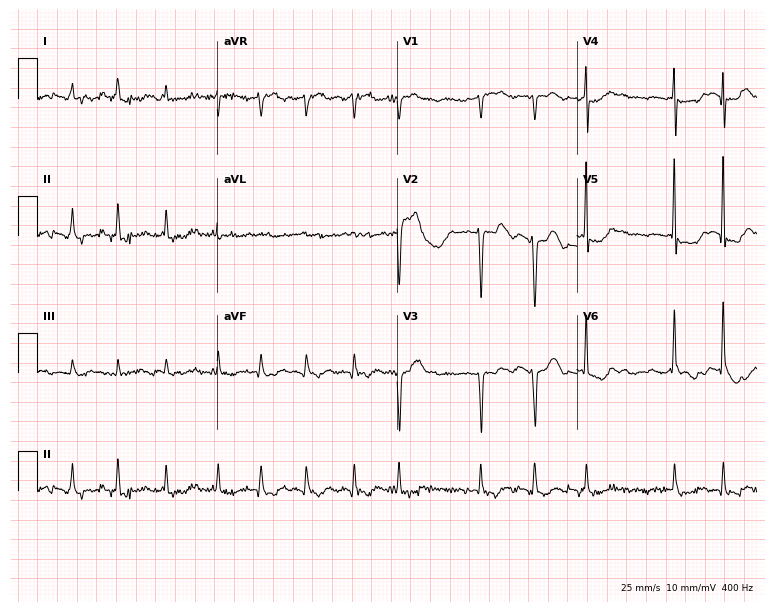
12-lead ECG (7.3-second recording at 400 Hz) from a 70-year-old female. Screened for six findings — first-degree AV block, right bundle branch block, left bundle branch block, sinus bradycardia, atrial fibrillation, sinus tachycardia — none is recorded.